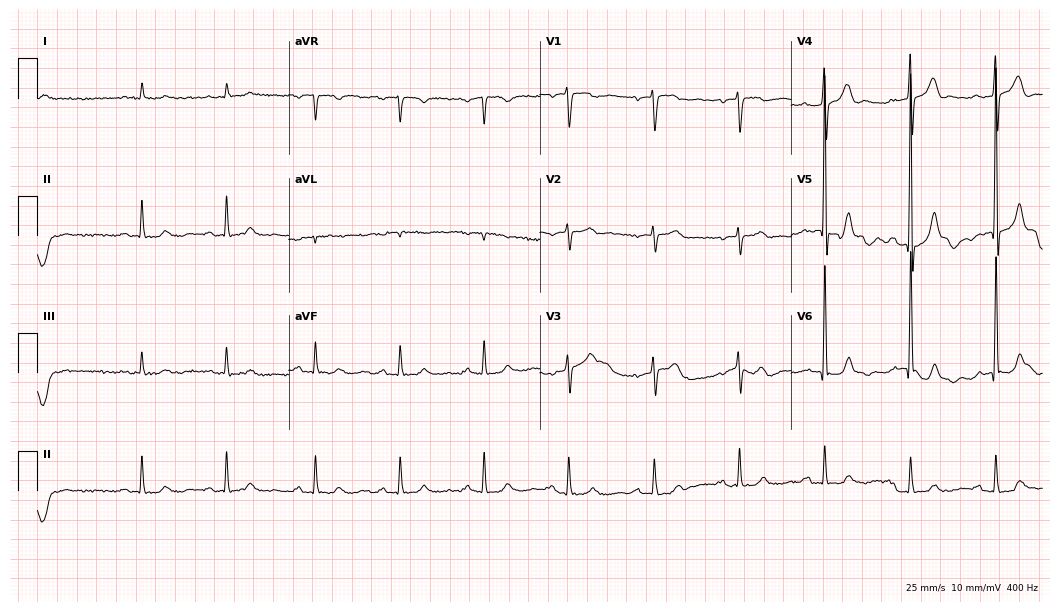
12-lead ECG from a male, 85 years old (10.2-second recording at 400 Hz). Recorded interpretation: within normal limits.